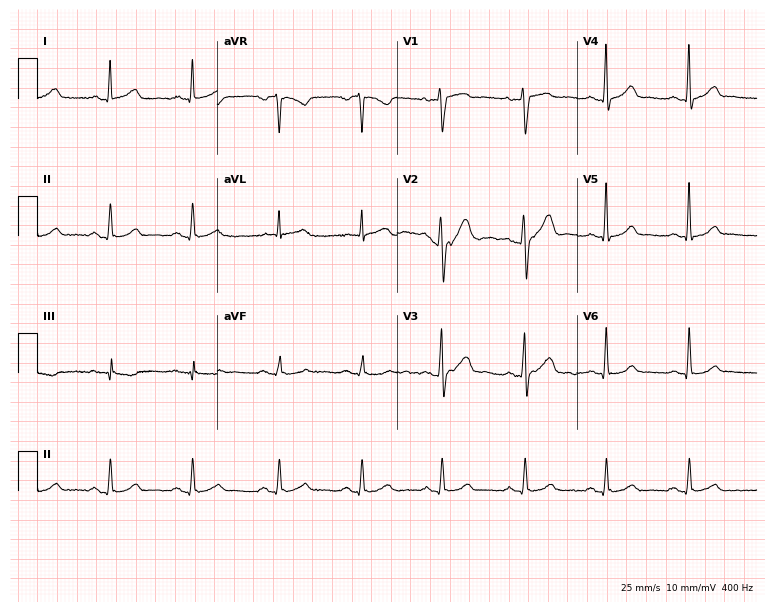
Standard 12-lead ECG recorded from a male patient, 33 years old. None of these six findings is recorded: first-degree AV block, right bundle branch block, left bundle branch block, sinus bradycardia, atrial fibrillation, sinus tachycardia.